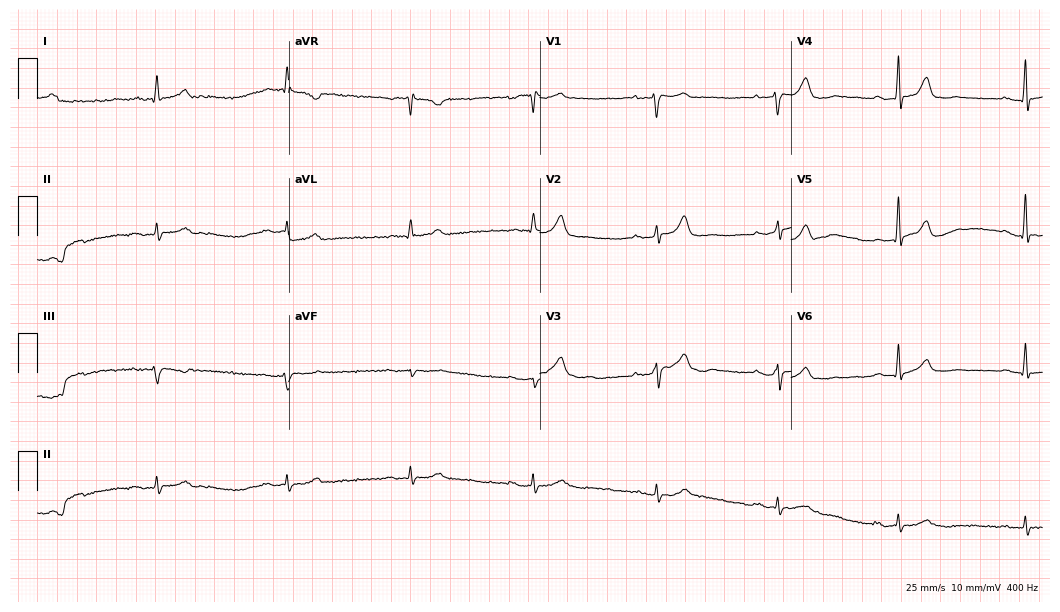
12-lead ECG (10.2-second recording at 400 Hz) from a male, 85 years old. Labelled as a normal ECG.